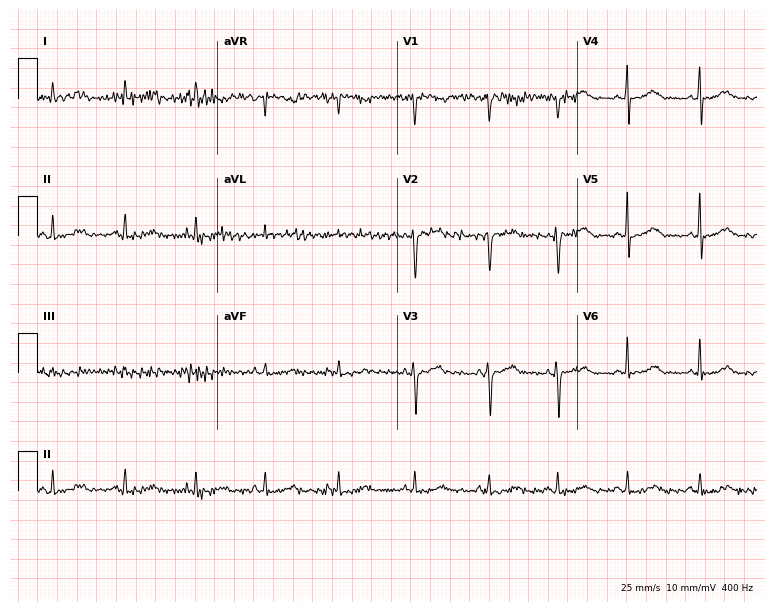
12-lead ECG from a female patient, 47 years old. Screened for six findings — first-degree AV block, right bundle branch block, left bundle branch block, sinus bradycardia, atrial fibrillation, sinus tachycardia — none is recorded.